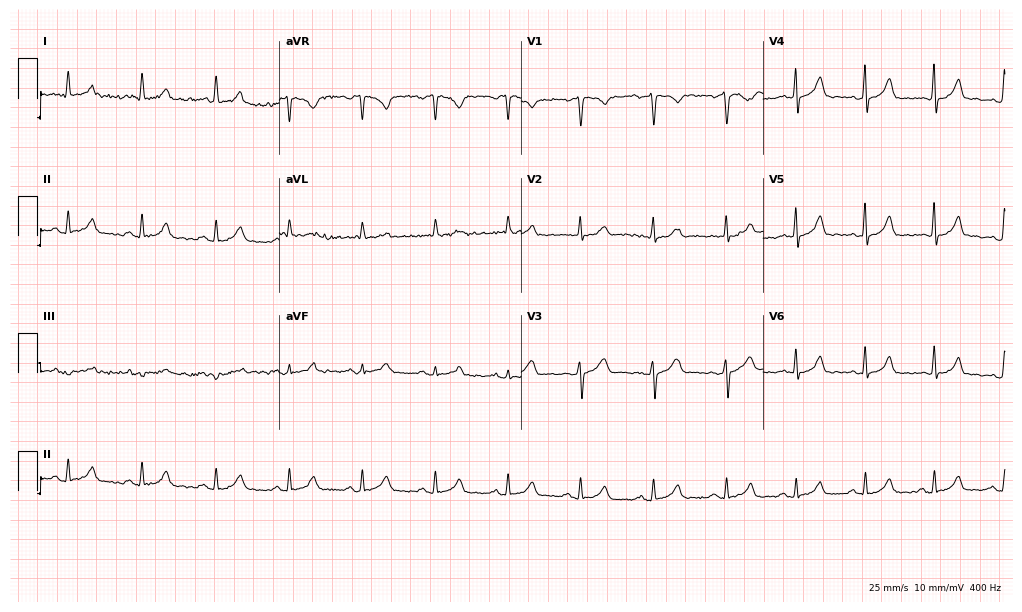
ECG (9.9-second recording at 400 Hz) — a 42-year-old female patient. Labelled as a normal ECG.